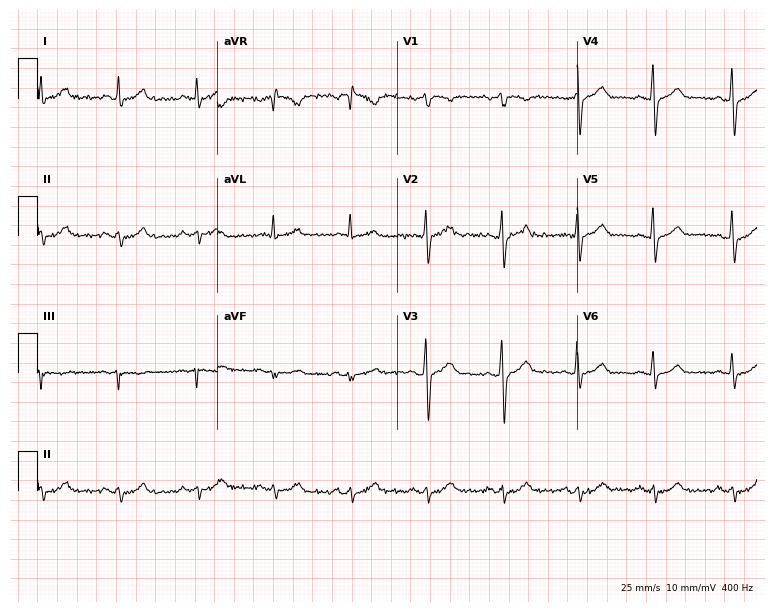
12-lead ECG from a 49-year-old male (7.3-second recording at 400 Hz). No first-degree AV block, right bundle branch block, left bundle branch block, sinus bradycardia, atrial fibrillation or sinus tachycardia recorded for this tracing. Findings outside these six are not listed.